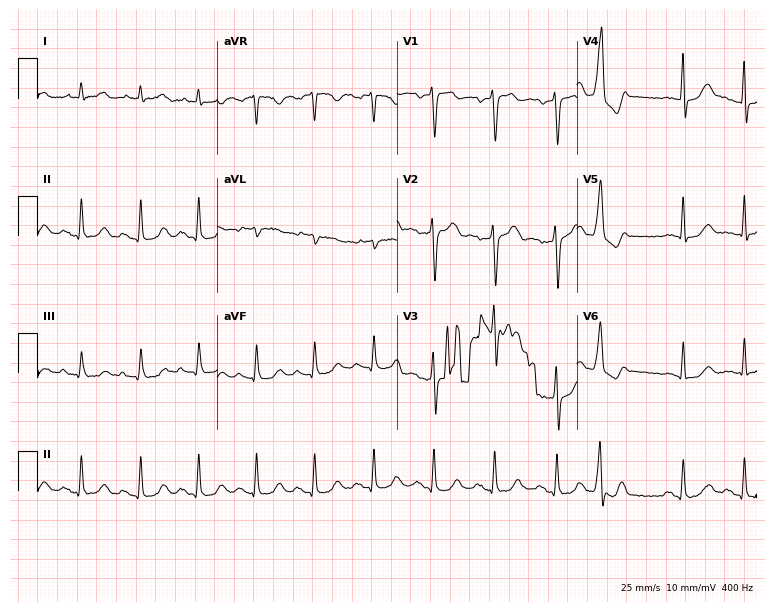
Electrocardiogram (7.3-second recording at 400 Hz), a man, 51 years old. Of the six screened findings (first-degree AV block, right bundle branch block, left bundle branch block, sinus bradycardia, atrial fibrillation, sinus tachycardia), none is recorded. Other findings, if any, are not listed.